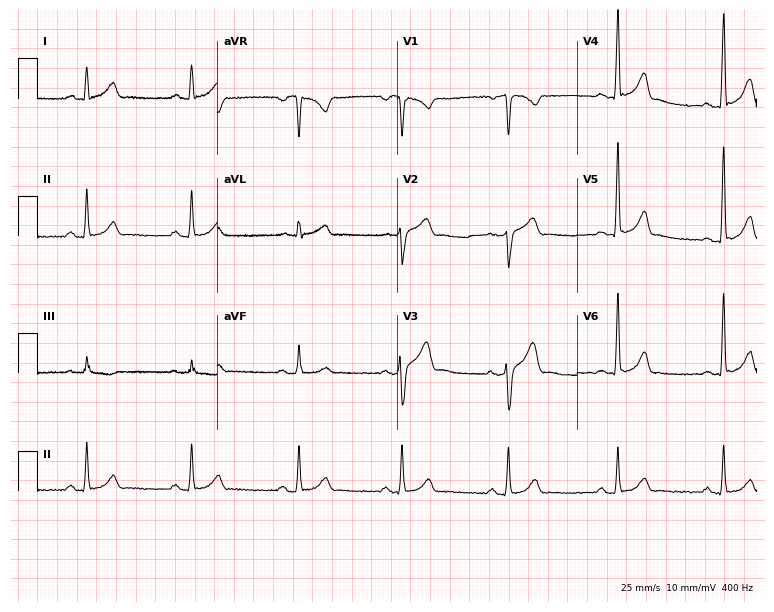
ECG (7.3-second recording at 400 Hz) — a 51-year-old male patient. Labelled as a normal ECG.